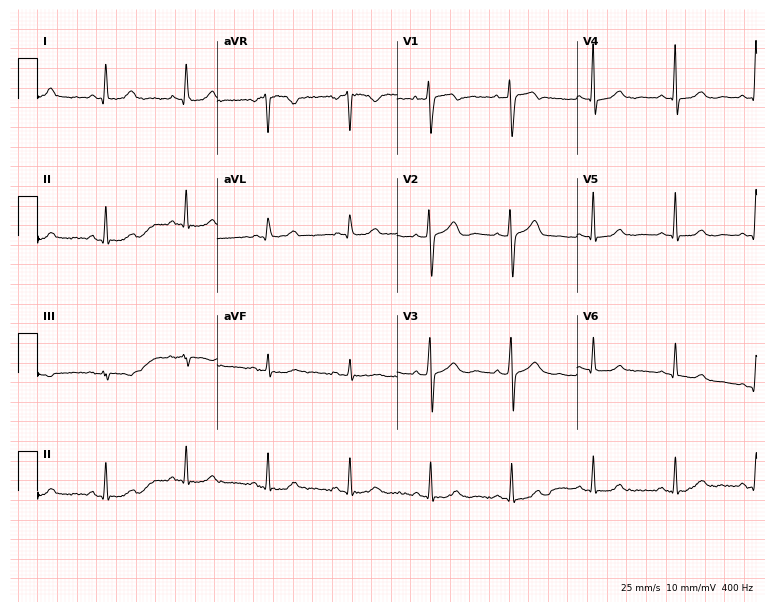
12-lead ECG from a woman, 46 years old (7.3-second recording at 400 Hz). No first-degree AV block, right bundle branch block (RBBB), left bundle branch block (LBBB), sinus bradycardia, atrial fibrillation (AF) or sinus tachycardia recorded for this tracing.